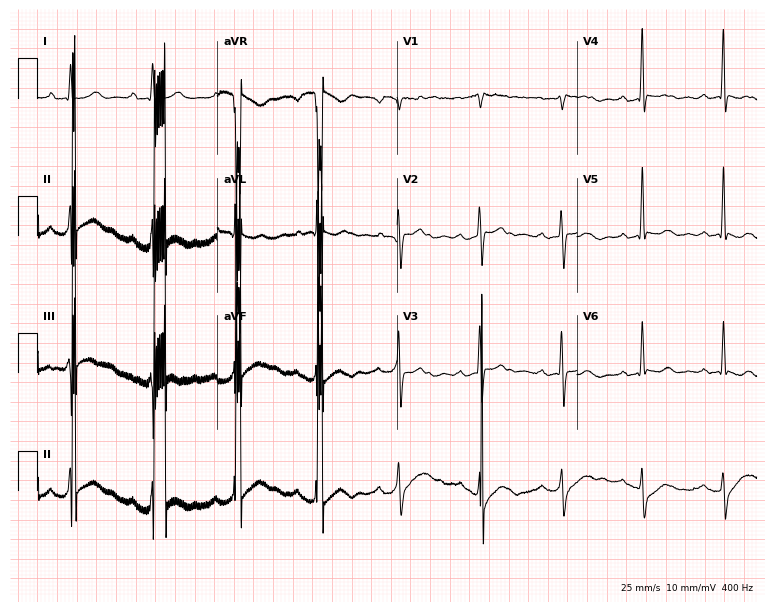
Standard 12-lead ECG recorded from a man, 31 years old (7.3-second recording at 400 Hz). None of these six findings is recorded: first-degree AV block, right bundle branch block, left bundle branch block, sinus bradycardia, atrial fibrillation, sinus tachycardia. Other findings, if any, are not listed.